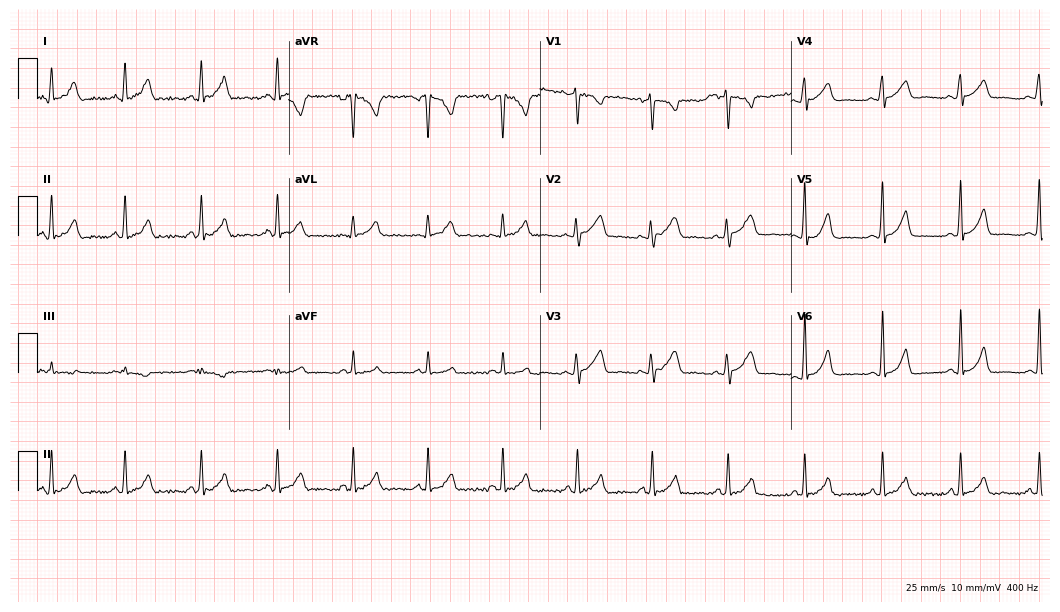
Resting 12-lead electrocardiogram. Patient: a female, 31 years old. Read as a normal ECG.